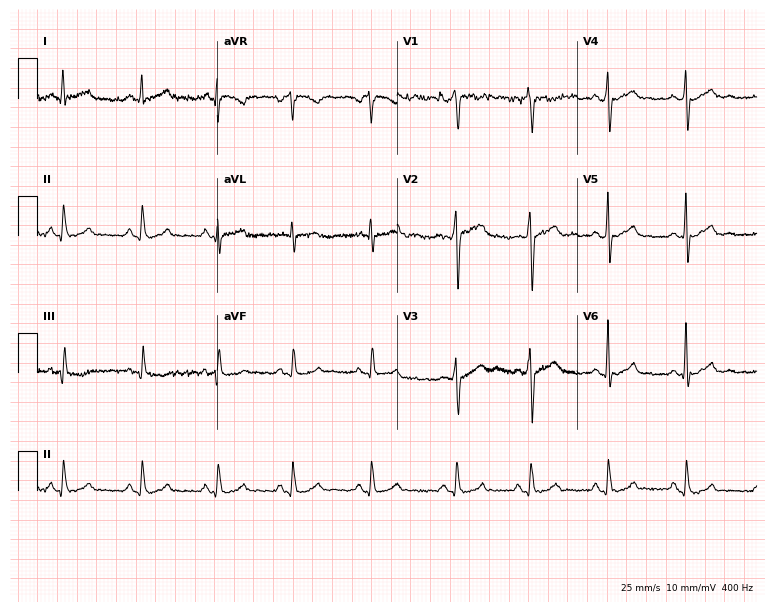
Standard 12-lead ECG recorded from a 41-year-old male patient. Read as a normal ECG.